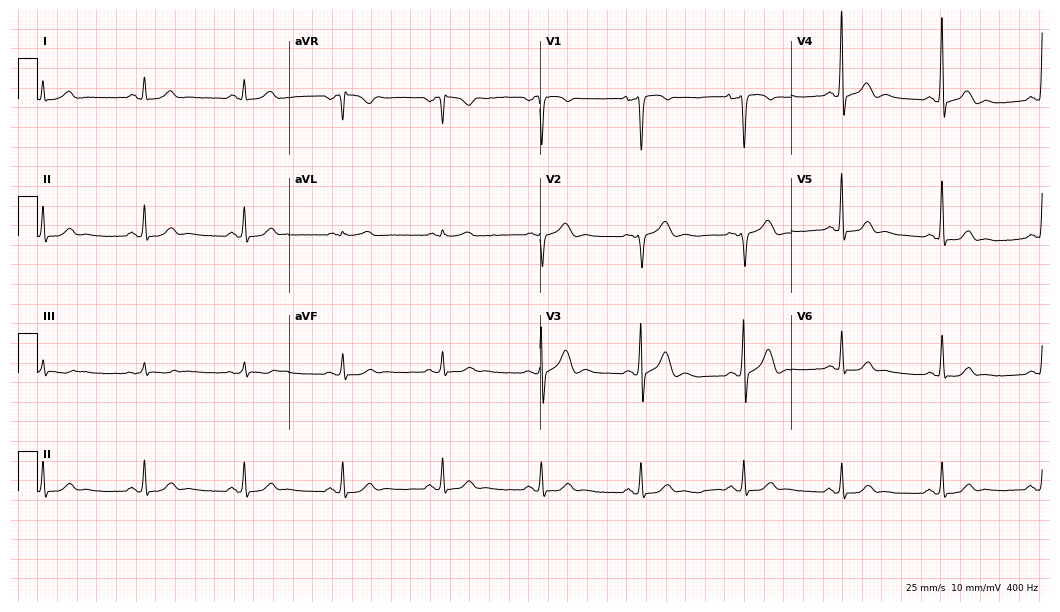
Electrocardiogram, a 39-year-old man. Overall reading on record: normal ECG.